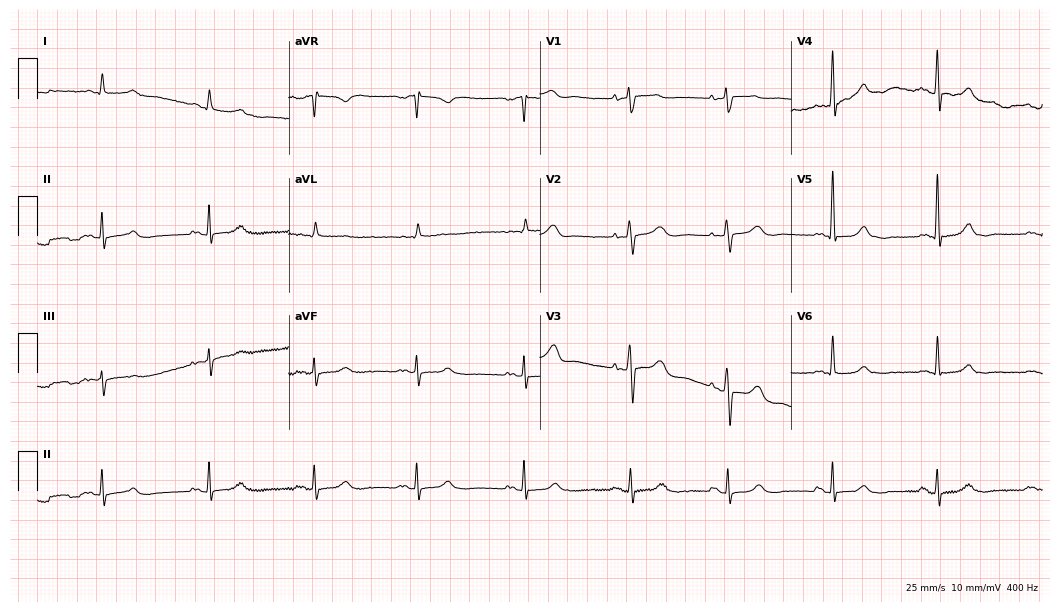
Resting 12-lead electrocardiogram. Patient: an 83-year-old woman. Read as a normal ECG.